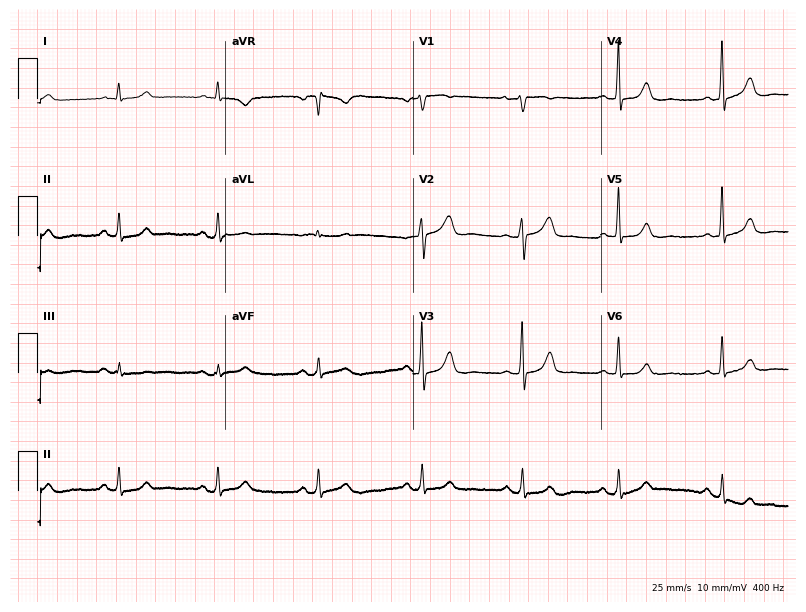
12-lead ECG from a 69-year-old woman. Screened for six findings — first-degree AV block, right bundle branch block (RBBB), left bundle branch block (LBBB), sinus bradycardia, atrial fibrillation (AF), sinus tachycardia — none is recorded.